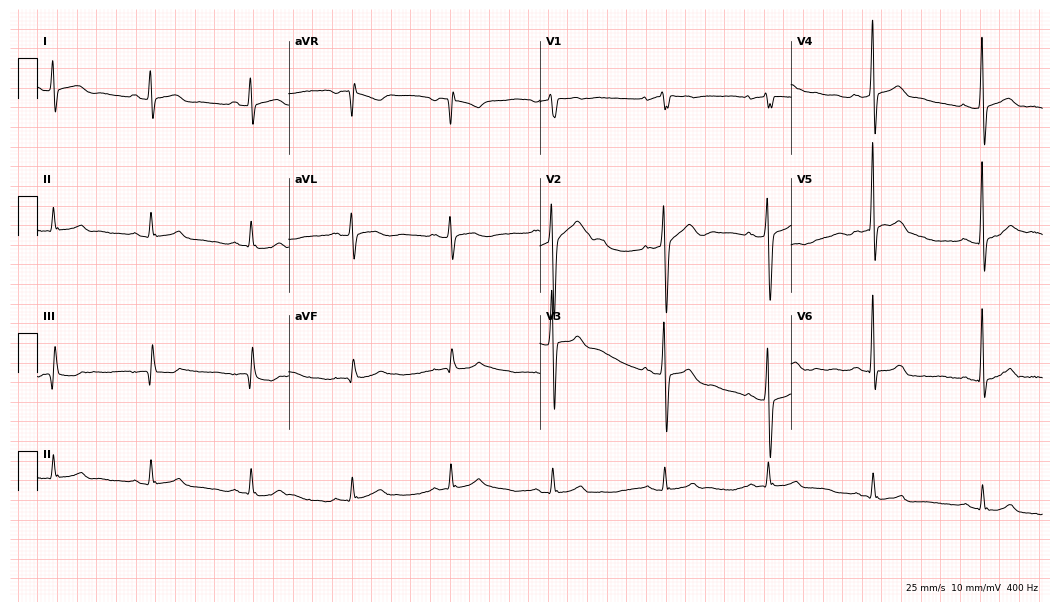
Resting 12-lead electrocardiogram (10.2-second recording at 400 Hz). Patient: a 45-year-old male. Read as a normal ECG.